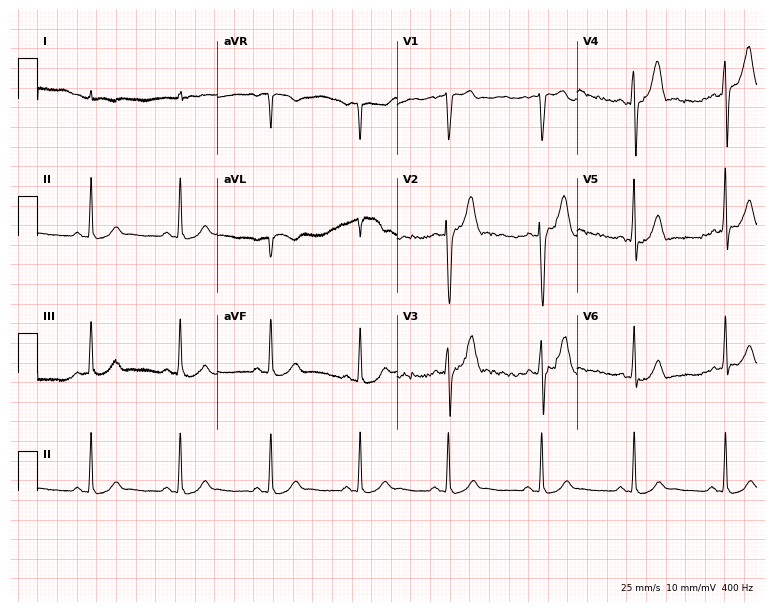
ECG — a 34-year-old female patient. Screened for six findings — first-degree AV block, right bundle branch block (RBBB), left bundle branch block (LBBB), sinus bradycardia, atrial fibrillation (AF), sinus tachycardia — none is recorded. Other findings, if any, are not listed.